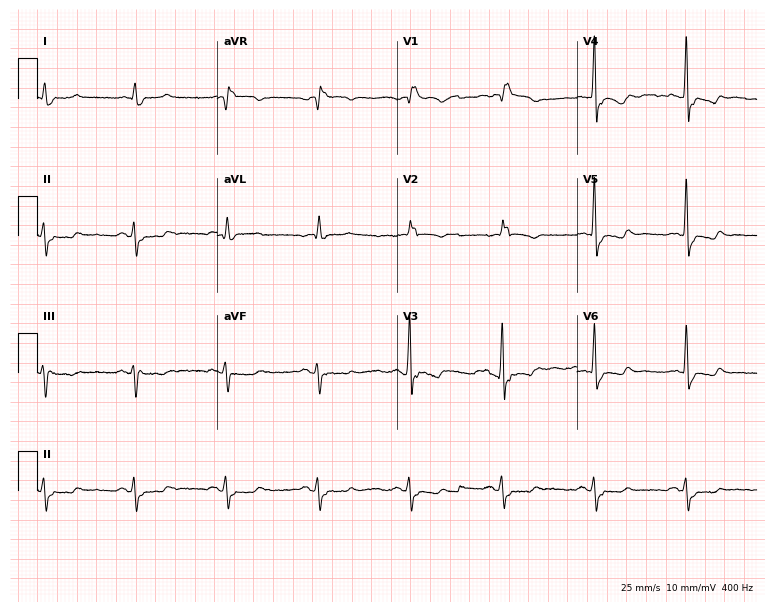
ECG — a man, 79 years old. Findings include right bundle branch block.